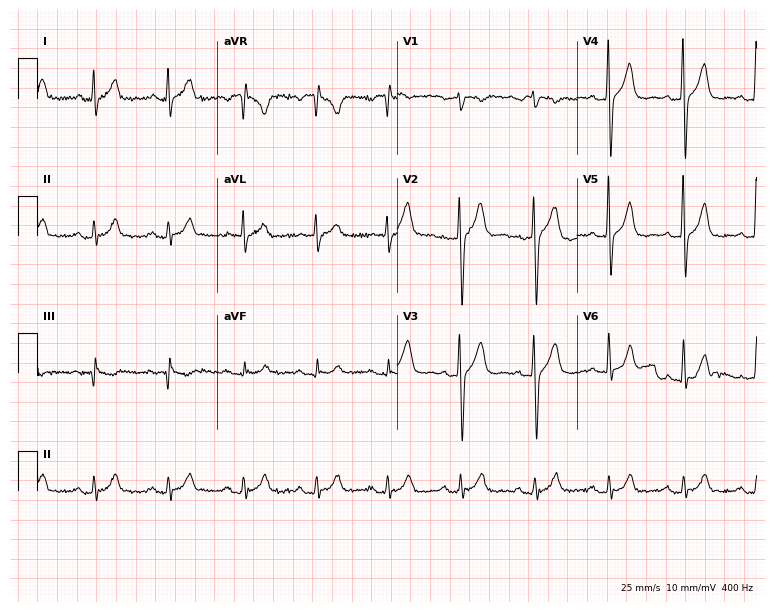
ECG (7.3-second recording at 400 Hz) — a 46-year-old male patient. Screened for six findings — first-degree AV block, right bundle branch block, left bundle branch block, sinus bradycardia, atrial fibrillation, sinus tachycardia — none is recorded.